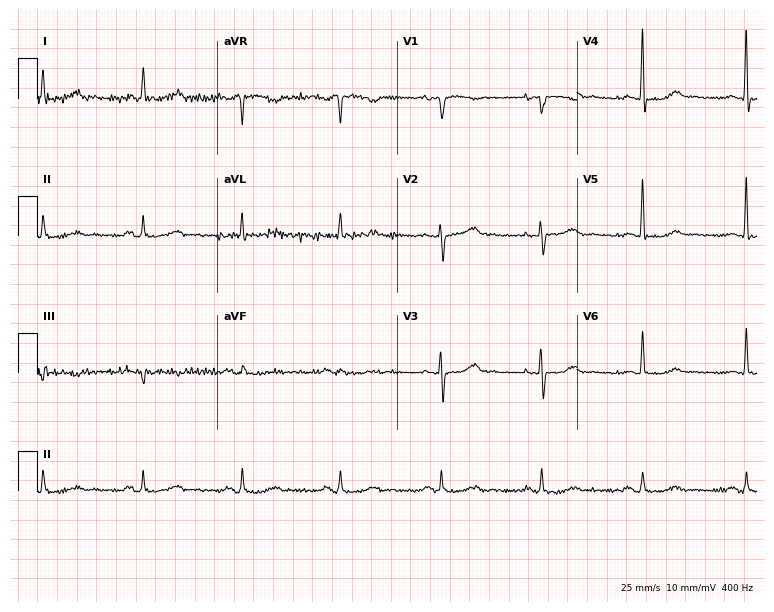
Standard 12-lead ECG recorded from a 73-year-old female patient. None of these six findings is recorded: first-degree AV block, right bundle branch block, left bundle branch block, sinus bradycardia, atrial fibrillation, sinus tachycardia. Findings outside these six are not listed.